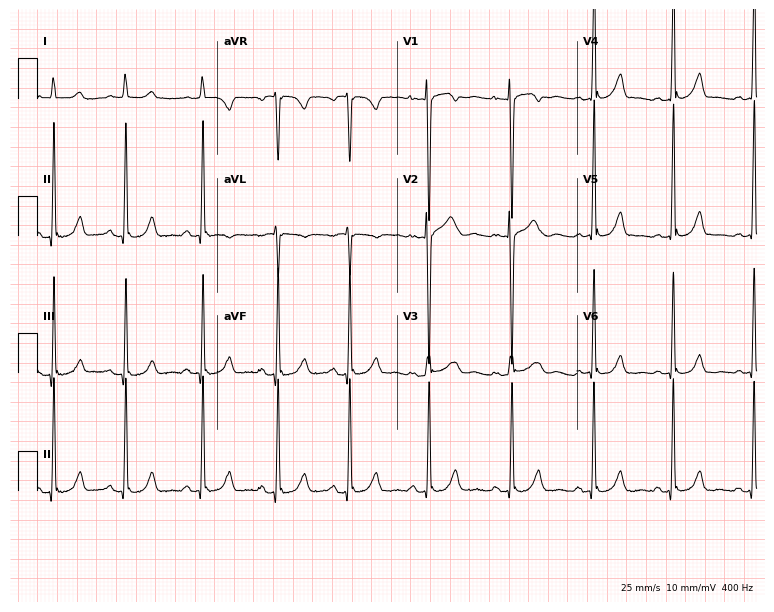
12-lead ECG from a 25-year-old female patient (7.3-second recording at 400 Hz). Recorded interpretation: within normal limits.